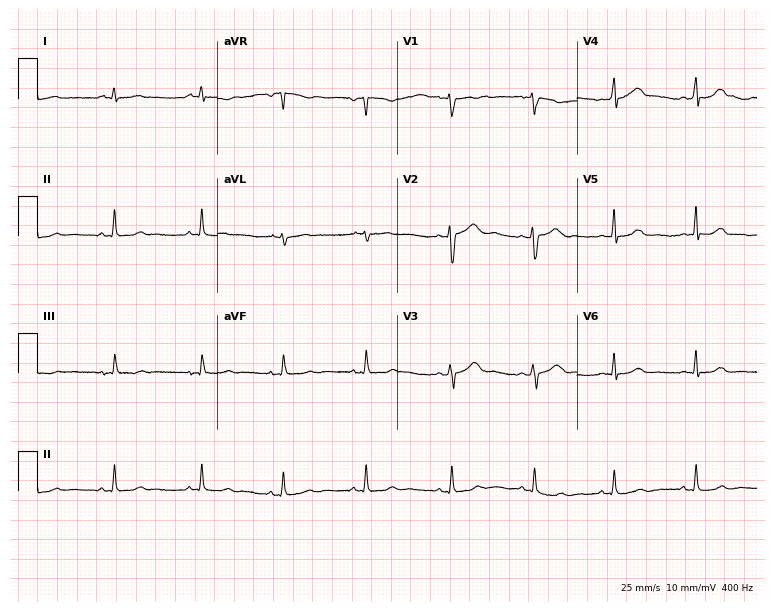
Standard 12-lead ECG recorded from a woman, 35 years old (7.3-second recording at 400 Hz). None of these six findings is recorded: first-degree AV block, right bundle branch block, left bundle branch block, sinus bradycardia, atrial fibrillation, sinus tachycardia.